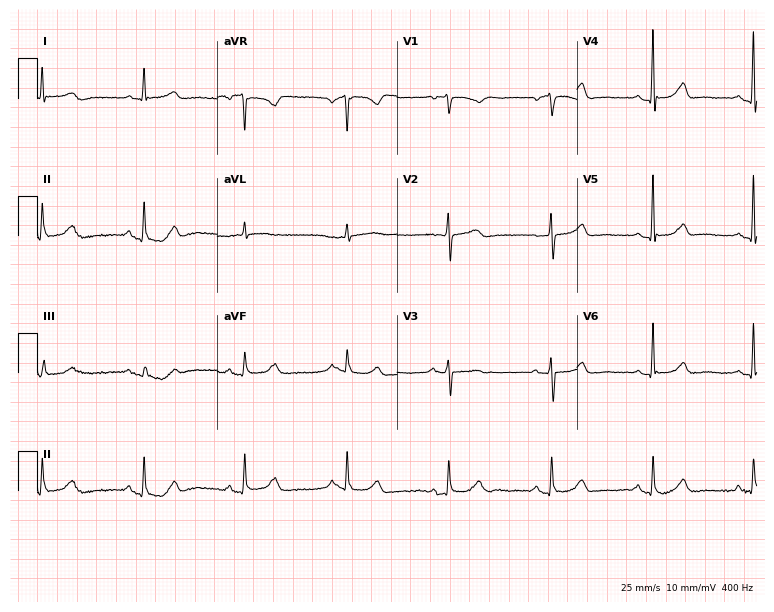
Electrocardiogram, a female, 80 years old. Overall reading on record: normal ECG.